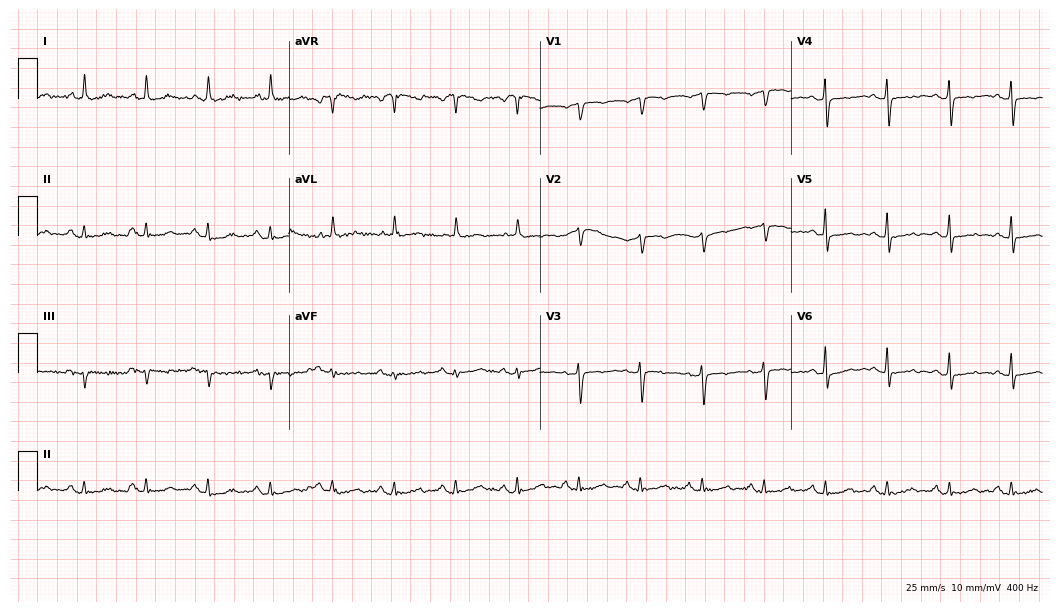
Electrocardiogram, a 78-year-old woman. Of the six screened findings (first-degree AV block, right bundle branch block, left bundle branch block, sinus bradycardia, atrial fibrillation, sinus tachycardia), none is recorded.